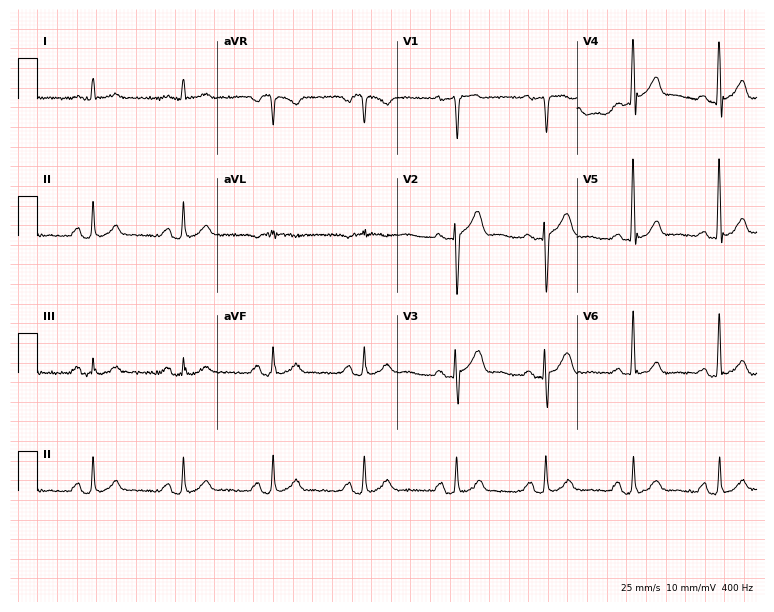
ECG (7.3-second recording at 400 Hz) — a man, 69 years old. Screened for six findings — first-degree AV block, right bundle branch block, left bundle branch block, sinus bradycardia, atrial fibrillation, sinus tachycardia — none is recorded. Only these six findings were labelled.